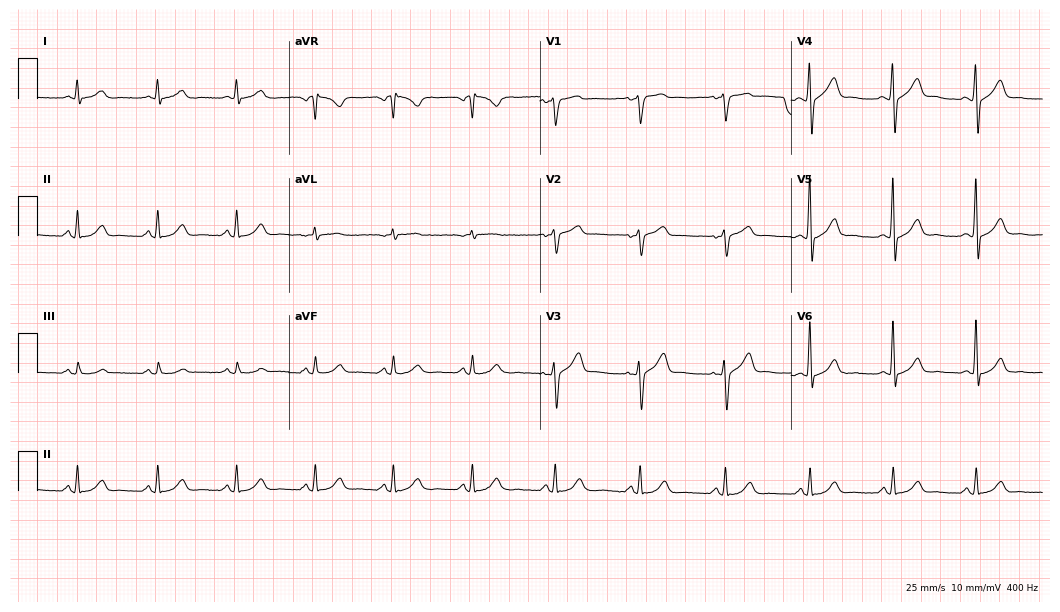
ECG (10.2-second recording at 400 Hz) — a 56-year-old male patient. Labelled as a normal ECG.